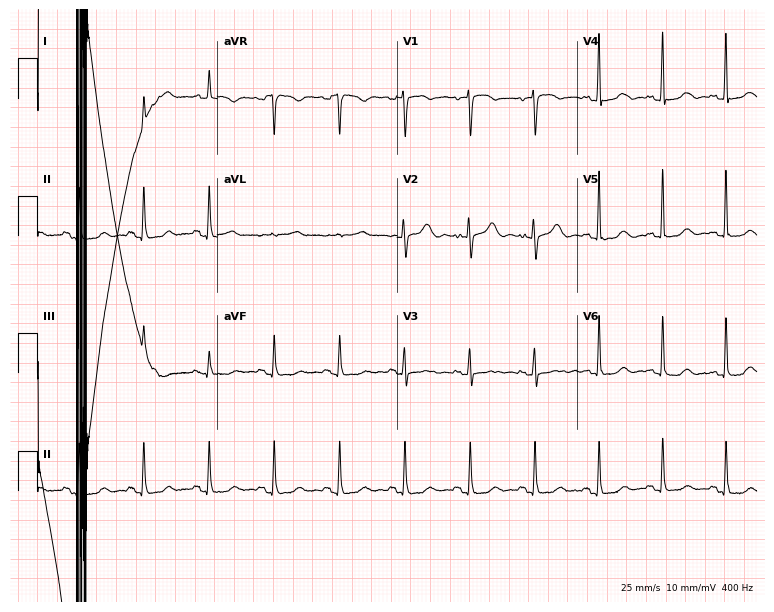
Resting 12-lead electrocardiogram (7.3-second recording at 400 Hz). Patient: an 85-year-old woman. Read as a normal ECG.